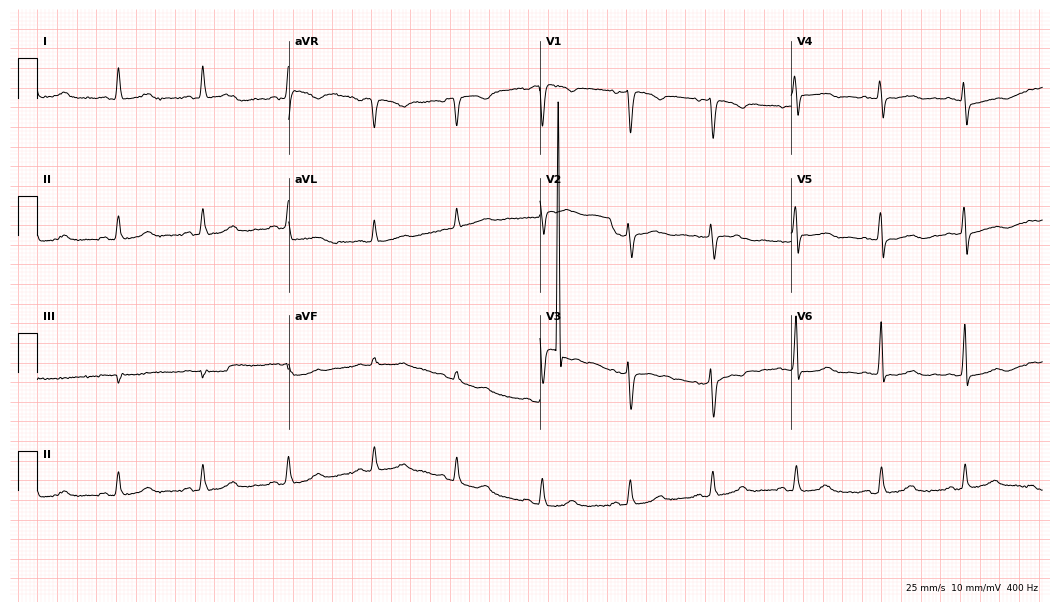
Resting 12-lead electrocardiogram. Patient: a female, 50 years old. Read as a normal ECG.